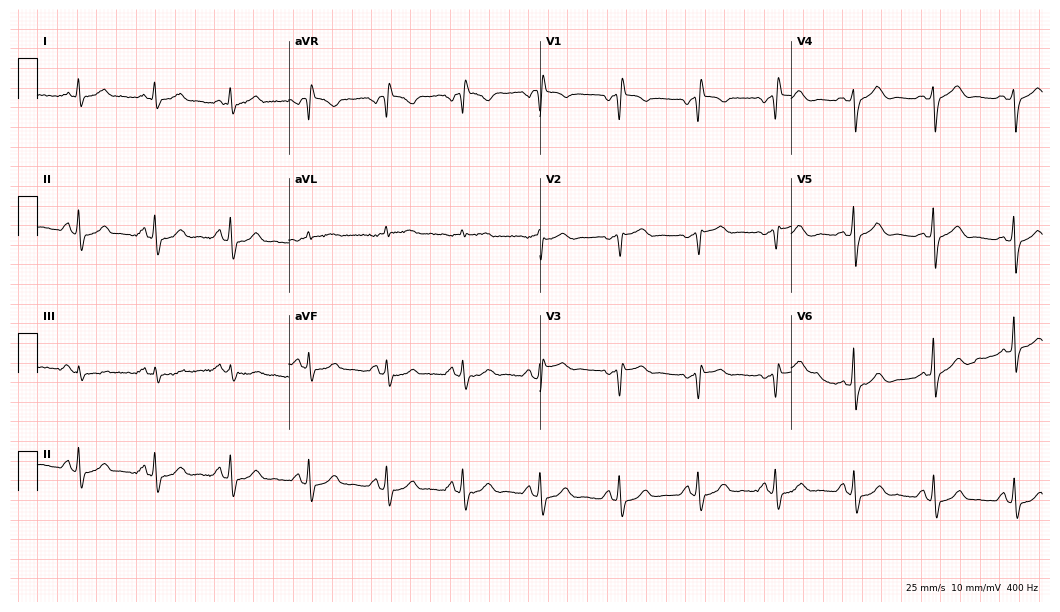
Electrocardiogram (10.2-second recording at 400 Hz), a 58-year-old female patient. Interpretation includes right bundle branch block.